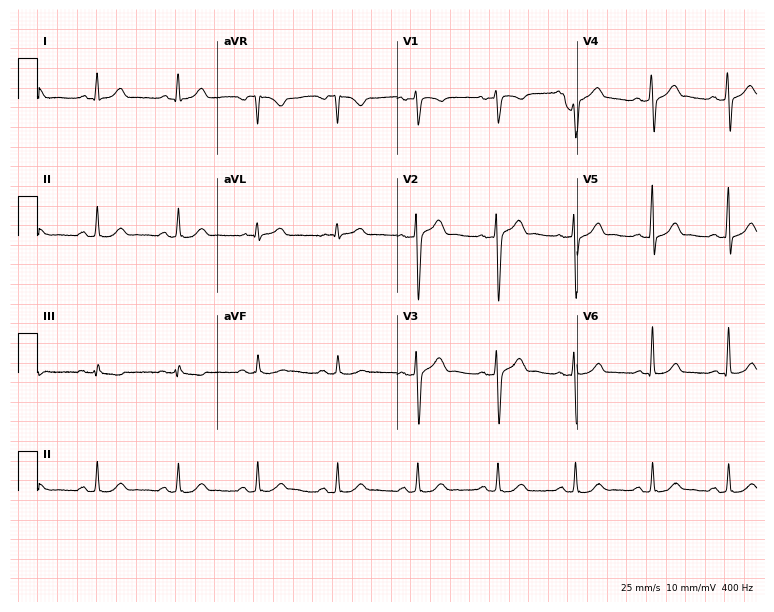
Standard 12-lead ECG recorded from a 44-year-old male (7.3-second recording at 400 Hz). Read as a normal ECG.